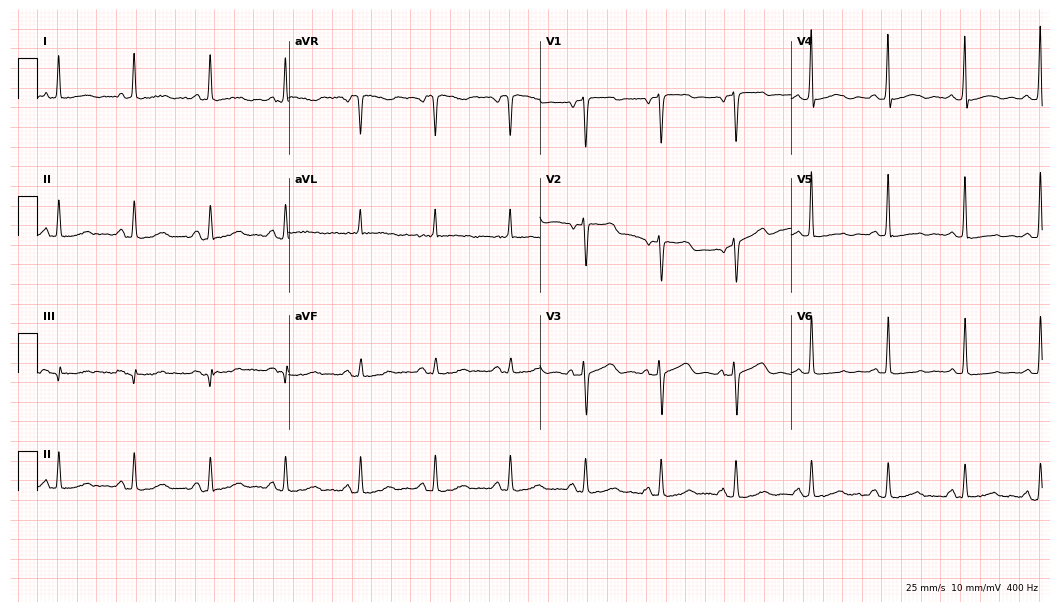
Electrocardiogram (10.2-second recording at 400 Hz), a female patient, 78 years old. Of the six screened findings (first-degree AV block, right bundle branch block (RBBB), left bundle branch block (LBBB), sinus bradycardia, atrial fibrillation (AF), sinus tachycardia), none is recorded. Findings outside these six are not listed.